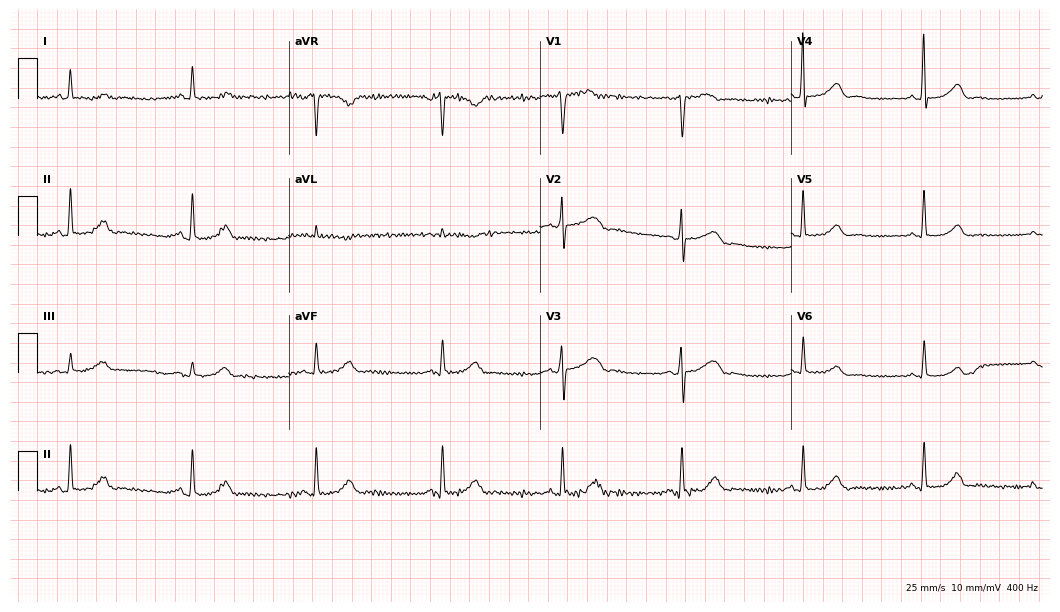
12-lead ECG from a 57-year-old woman. Shows sinus bradycardia (a sinus rate of 50 beats per minute or less).